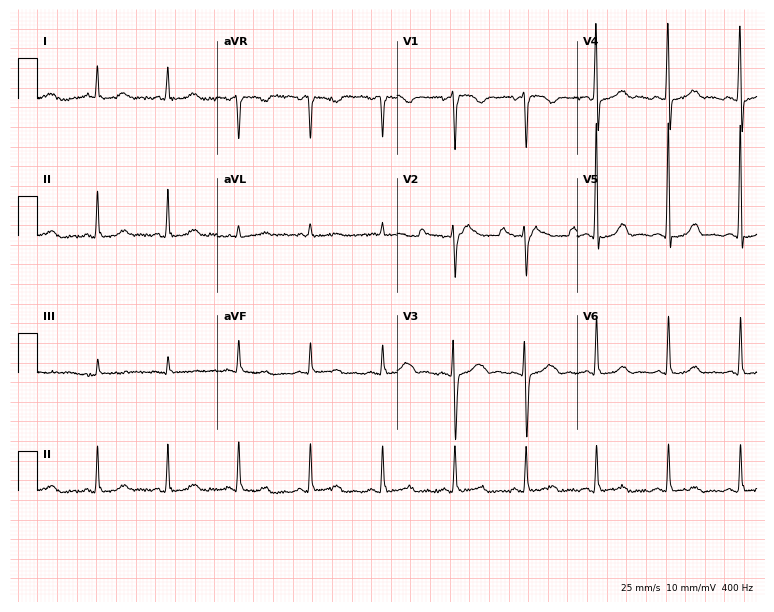
12-lead ECG from a 47-year-old female (7.3-second recording at 400 Hz). Recorded interpretation: within normal limits.